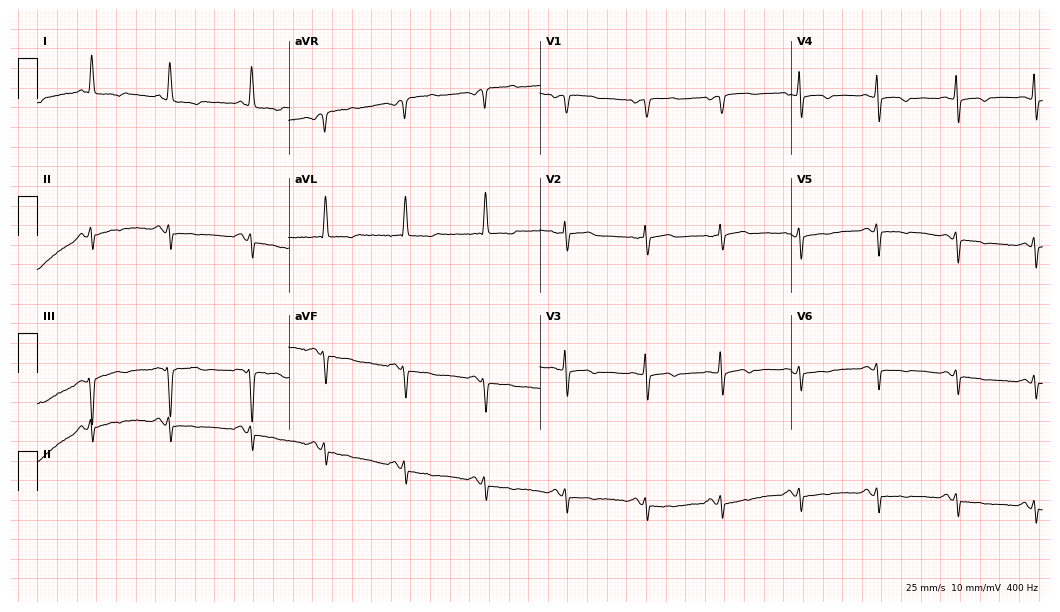
Standard 12-lead ECG recorded from an 83-year-old female patient (10.2-second recording at 400 Hz). None of these six findings is recorded: first-degree AV block, right bundle branch block (RBBB), left bundle branch block (LBBB), sinus bradycardia, atrial fibrillation (AF), sinus tachycardia.